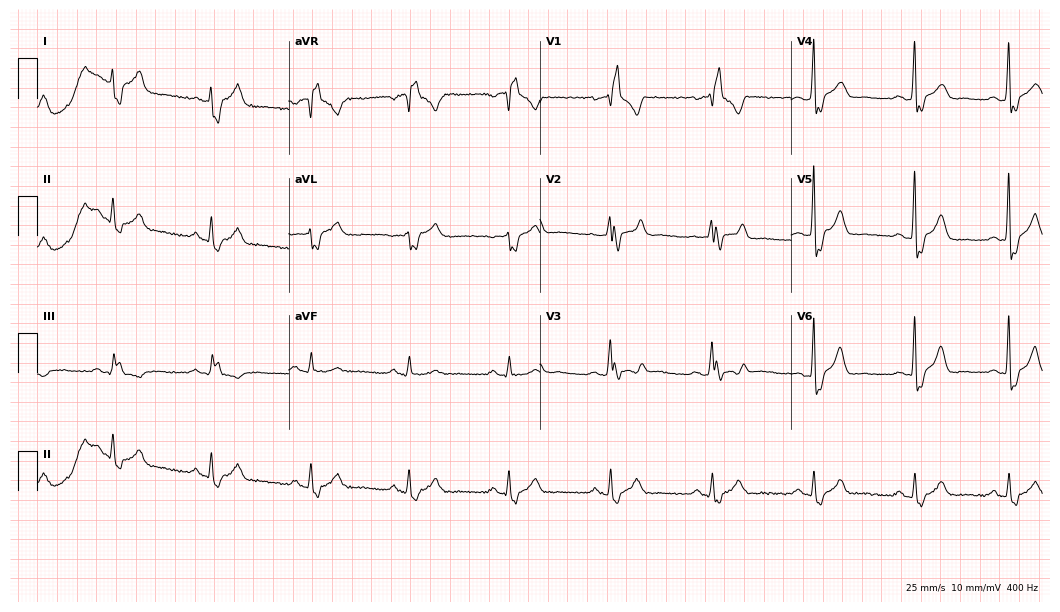
12-lead ECG (10.2-second recording at 400 Hz) from a 42-year-old male patient. Findings include right bundle branch block.